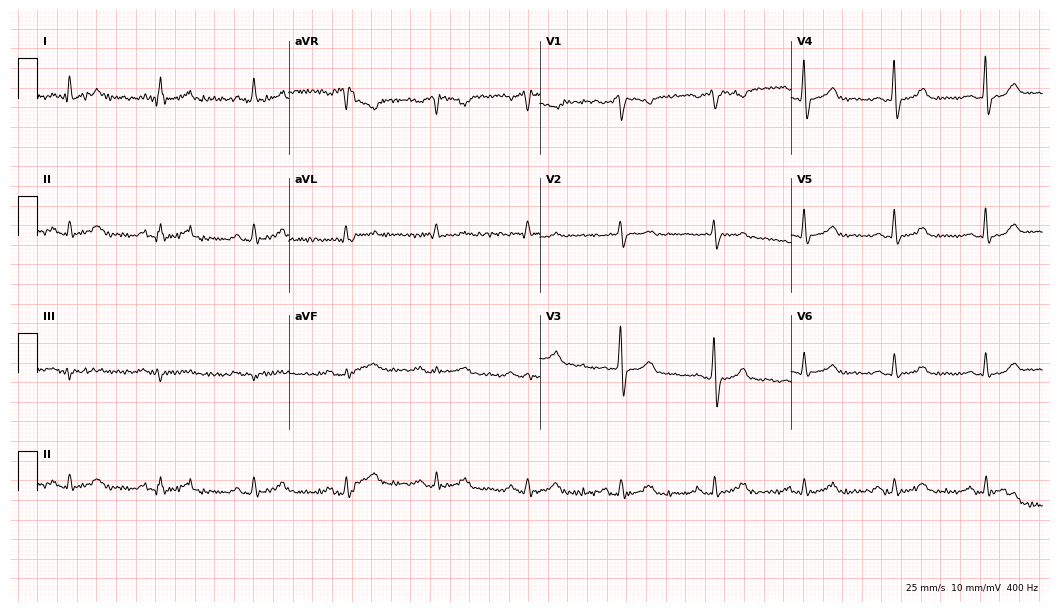
Standard 12-lead ECG recorded from a 59-year-old man (10.2-second recording at 400 Hz). None of these six findings is recorded: first-degree AV block, right bundle branch block, left bundle branch block, sinus bradycardia, atrial fibrillation, sinus tachycardia. Findings outside these six are not listed.